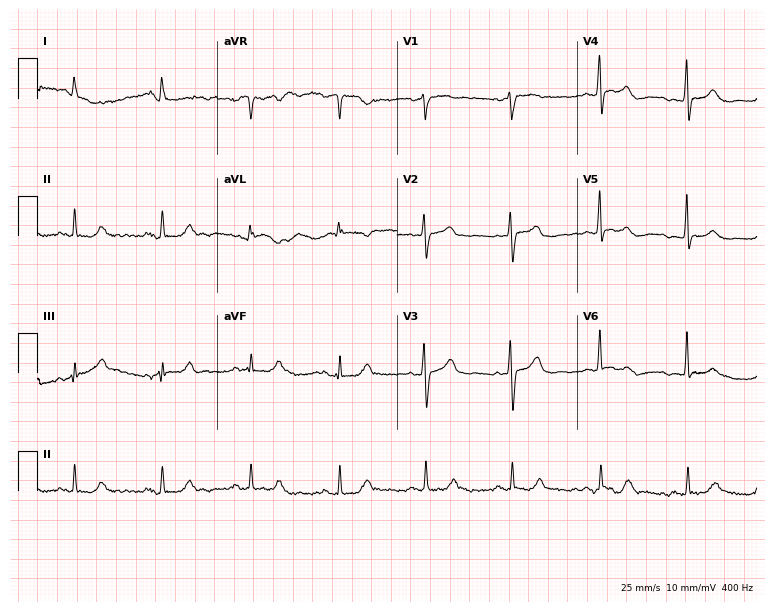
Electrocardiogram (7.3-second recording at 400 Hz), a woman, 59 years old. Overall reading on record: normal ECG.